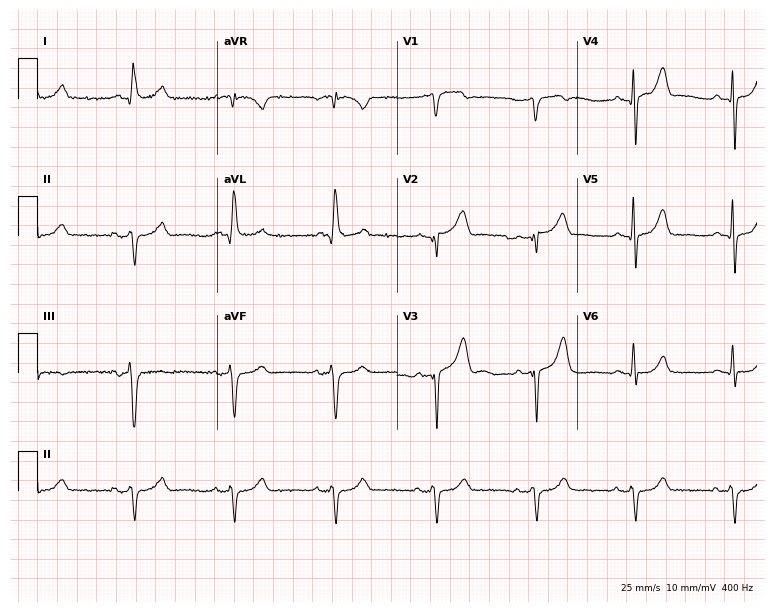
12-lead ECG from a male, 81 years old (7.3-second recording at 400 Hz). Shows left bundle branch block (LBBB).